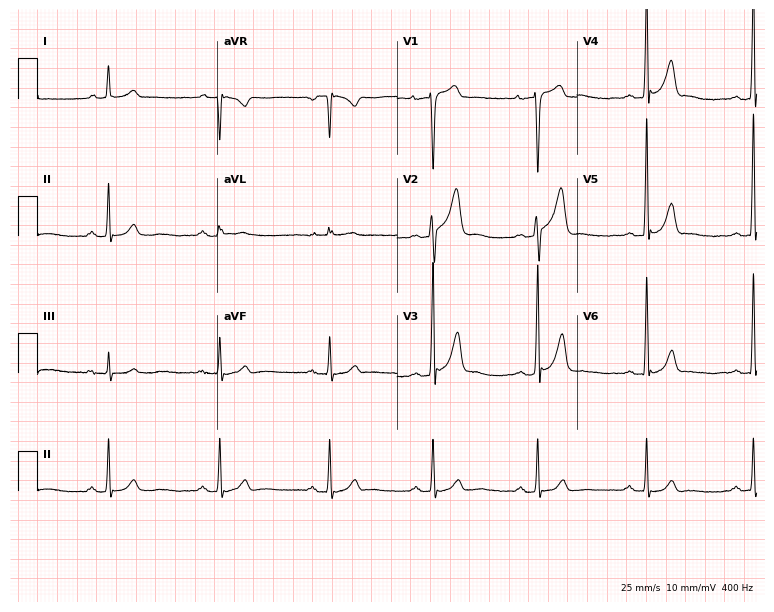
Resting 12-lead electrocardiogram (7.3-second recording at 400 Hz). Patient: a male, 33 years old. None of these six findings is recorded: first-degree AV block, right bundle branch block (RBBB), left bundle branch block (LBBB), sinus bradycardia, atrial fibrillation (AF), sinus tachycardia. Other findings, if any, are not listed.